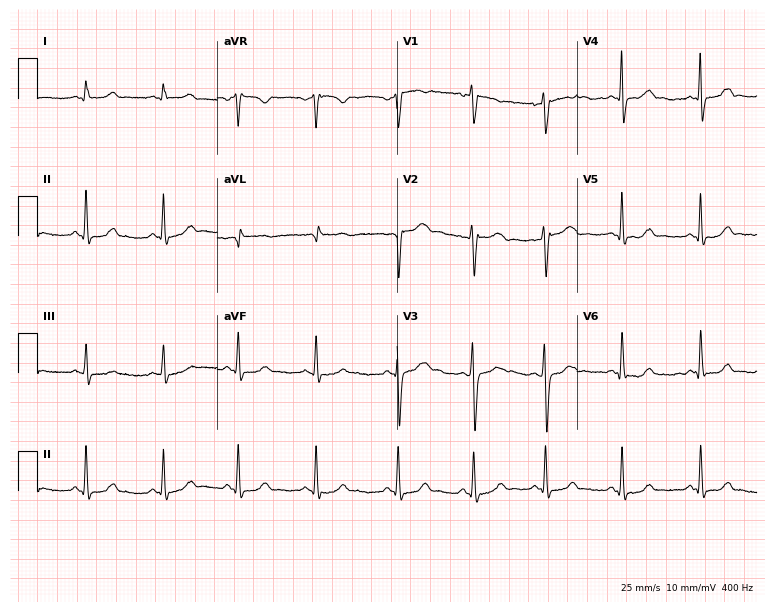
Resting 12-lead electrocardiogram (7.3-second recording at 400 Hz). Patient: a 20-year-old female. None of these six findings is recorded: first-degree AV block, right bundle branch block, left bundle branch block, sinus bradycardia, atrial fibrillation, sinus tachycardia. Findings outside these six are not listed.